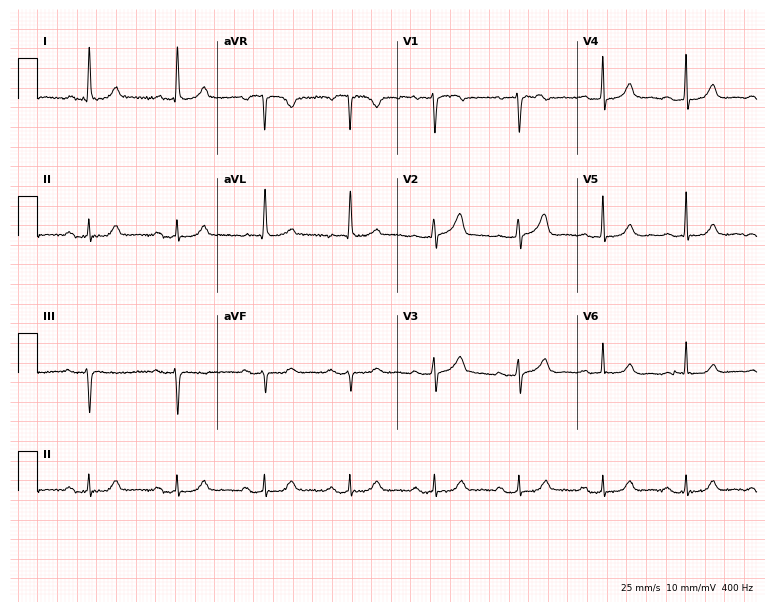
Resting 12-lead electrocardiogram. Patient: a female, 84 years old. None of these six findings is recorded: first-degree AV block, right bundle branch block, left bundle branch block, sinus bradycardia, atrial fibrillation, sinus tachycardia. Other findings, if any, are not listed.